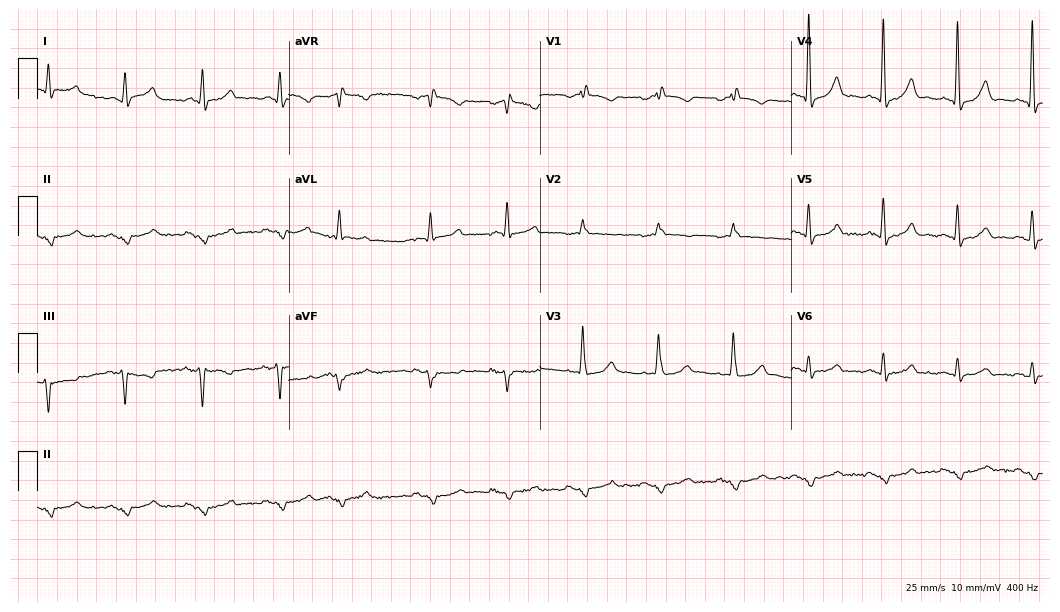
ECG — a man, 65 years old. Screened for six findings — first-degree AV block, right bundle branch block, left bundle branch block, sinus bradycardia, atrial fibrillation, sinus tachycardia — none is recorded. Other findings, if any, are not listed.